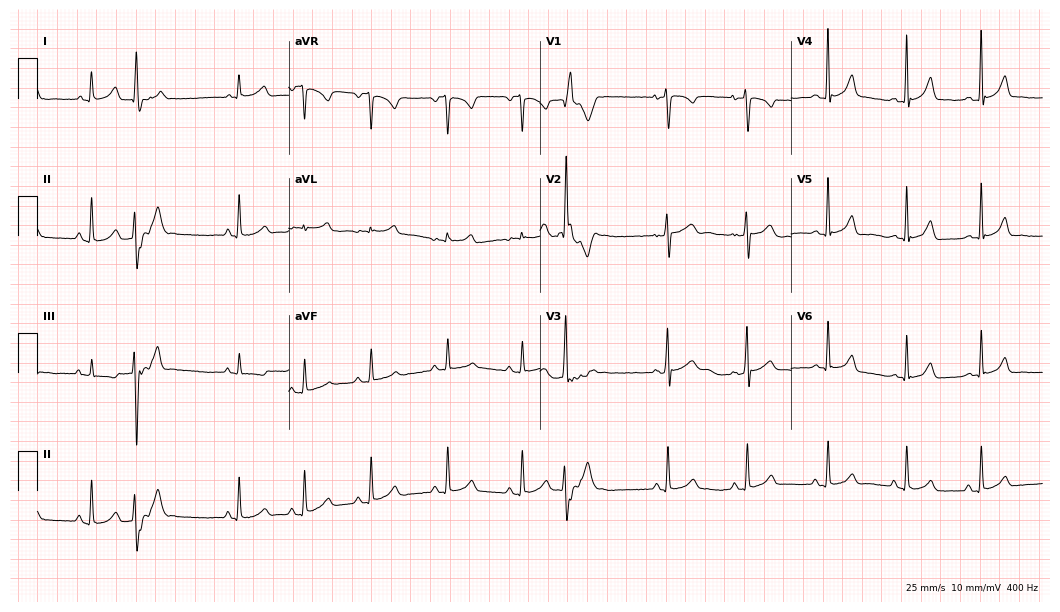
12-lead ECG from a 17-year-old female. Recorded interpretation: within normal limits.